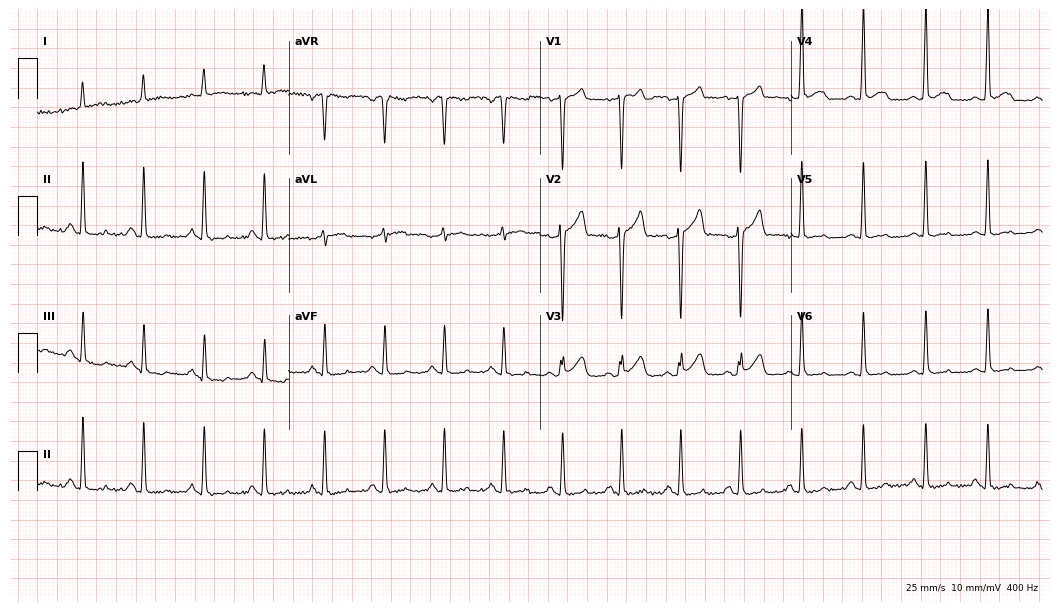
Electrocardiogram, a man, 54 years old. Of the six screened findings (first-degree AV block, right bundle branch block, left bundle branch block, sinus bradycardia, atrial fibrillation, sinus tachycardia), none is recorded. Other findings, if any, are not listed.